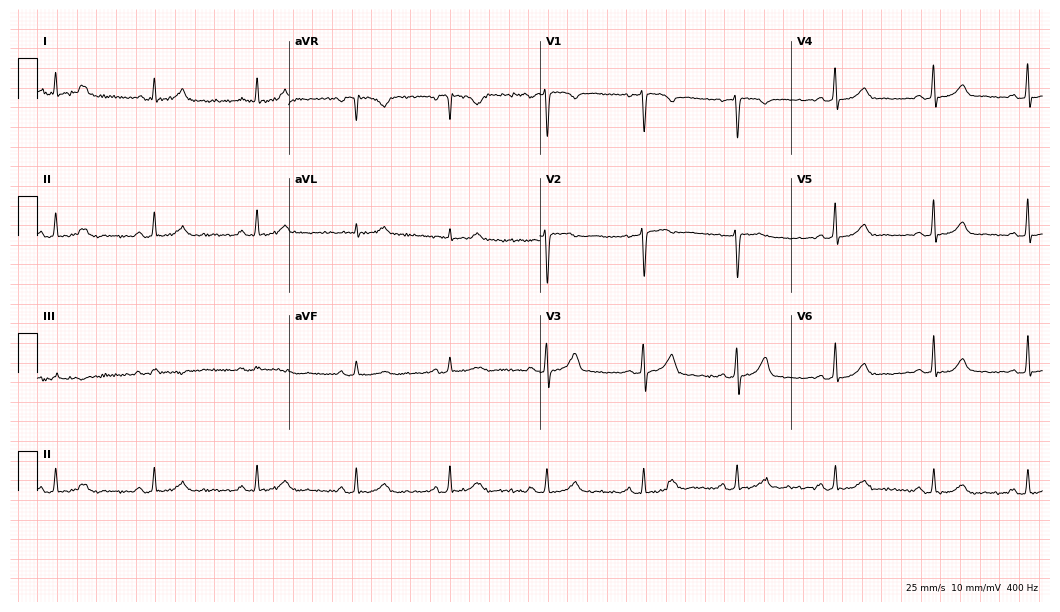
12-lead ECG from a 39-year-old female patient. Recorded interpretation: within normal limits.